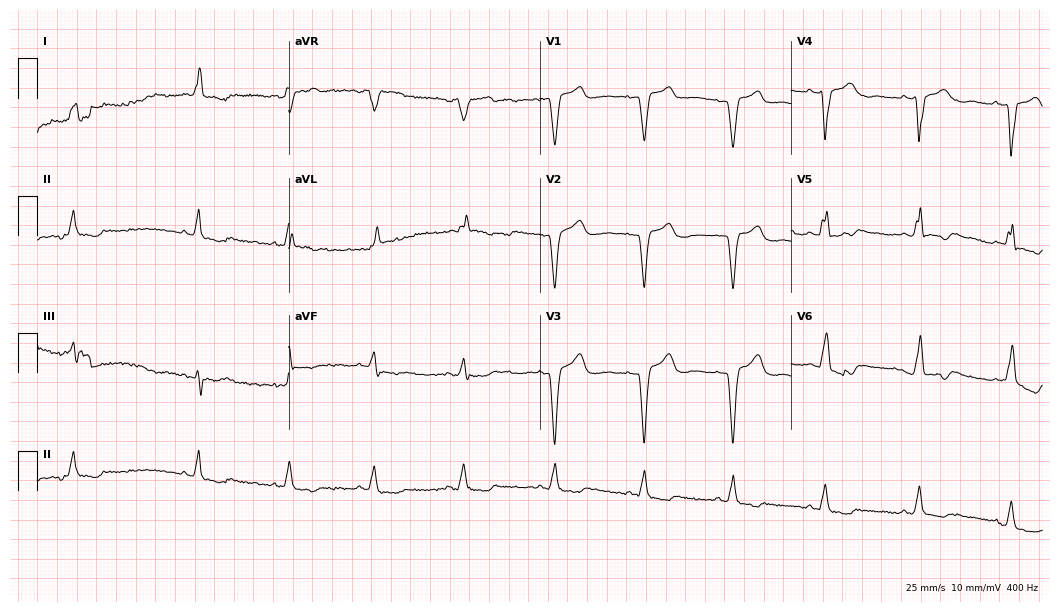
Electrocardiogram, a female patient, 80 years old. Interpretation includes left bundle branch block (LBBB).